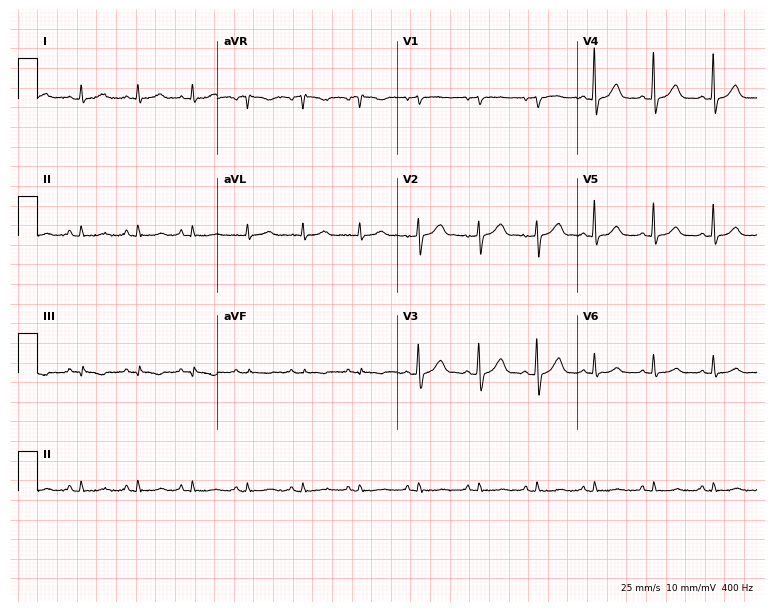
ECG (7.3-second recording at 400 Hz) — a man, 71 years old. Labelled as a normal ECG.